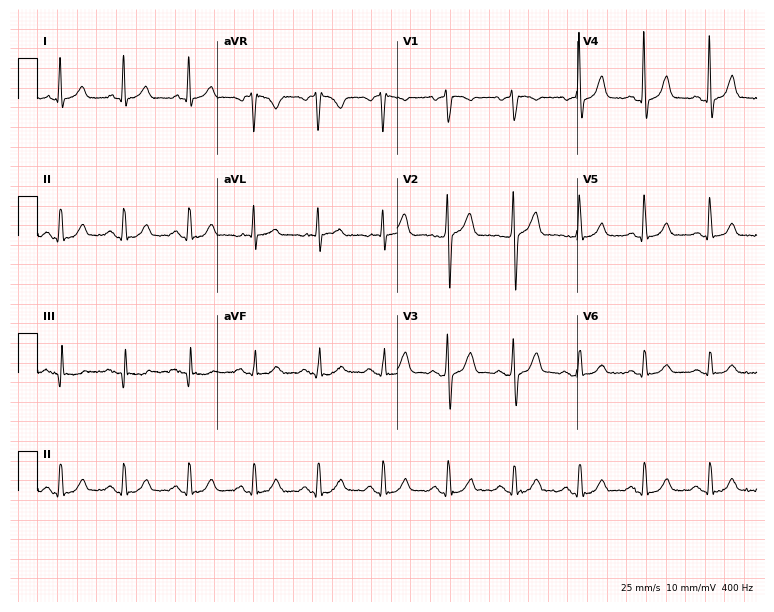
Resting 12-lead electrocardiogram (7.3-second recording at 400 Hz). Patient: a 65-year-old male. Read as a normal ECG.